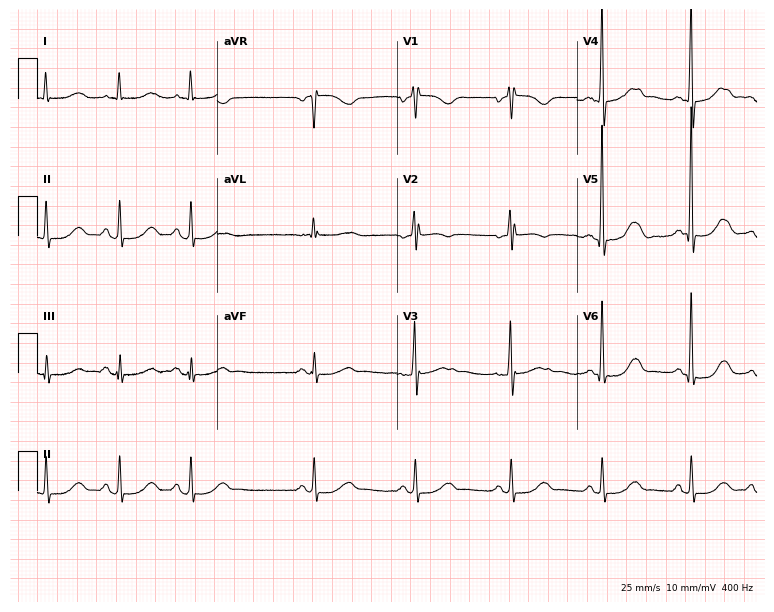
ECG — a 72-year-old woman. Screened for six findings — first-degree AV block, right bundle branch block (RBBB), left bundle branch block (LBBB), sinus bradycardia, atrial fibrillation (AF), sinus tachycardia — none is recorded.